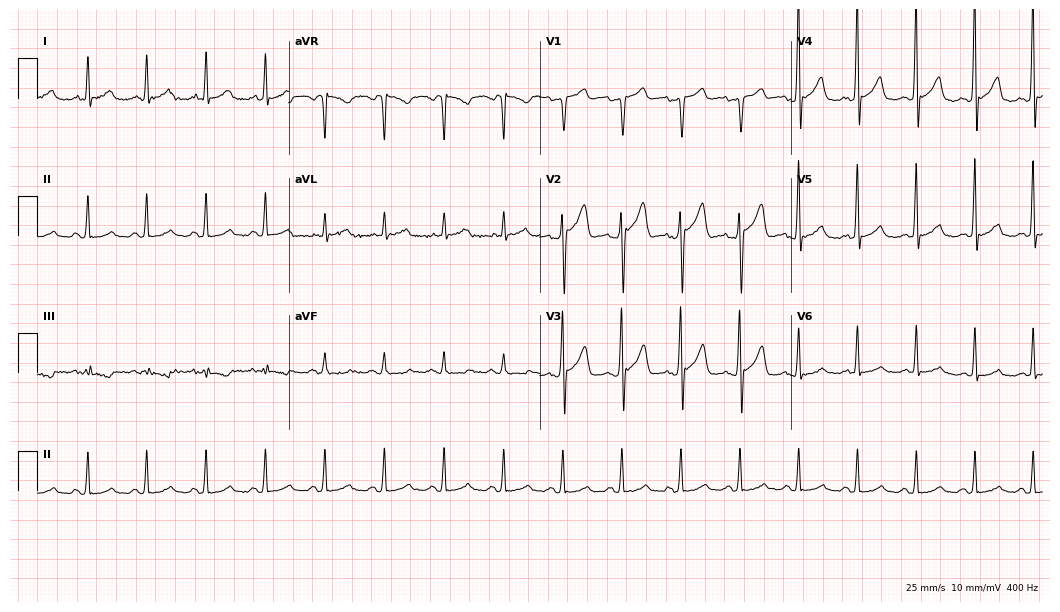
Electrocardiogram, a male, 69 years old. Overall reading on record: normal ECG.